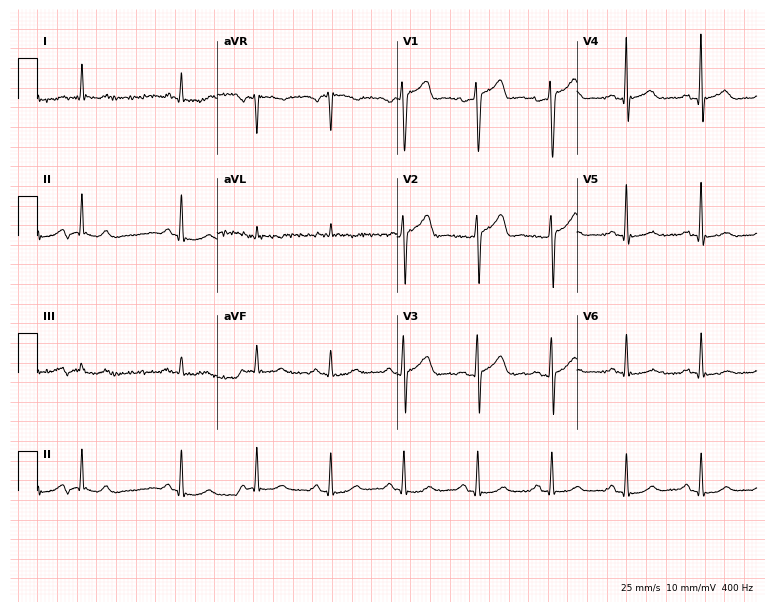
12-lead ECG (7.3-second recording at 400 Hz) from a male, 65 years old. Screened for six findings — first-degree AV block, right bundle branch block, left bundle branch block, sinus bradycardia, atrial fibrillation, sinus tachycardia — none is recorded. Only these six findings were labelled.